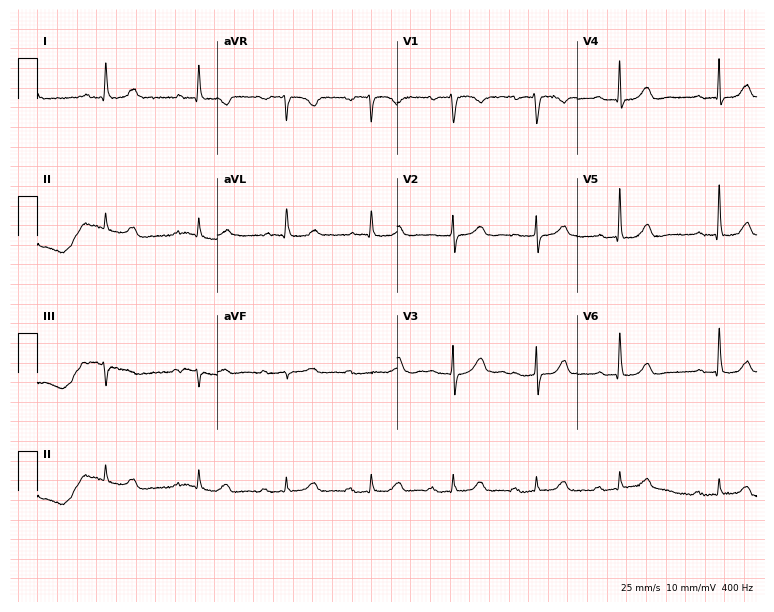
Standard 12-lead ECG recorded from a female patient, 74 years old. Read as a normal ECG.